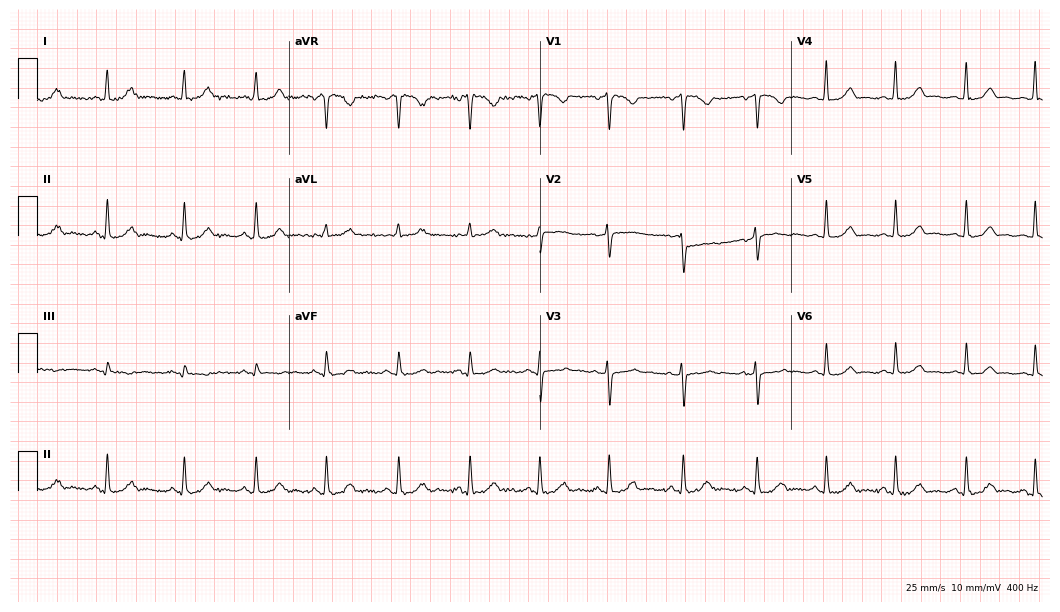
12-lead ECG from a 33-year-old woman (10.2-second recording at 400 Hz). Recorded interpretation: within normal limits.